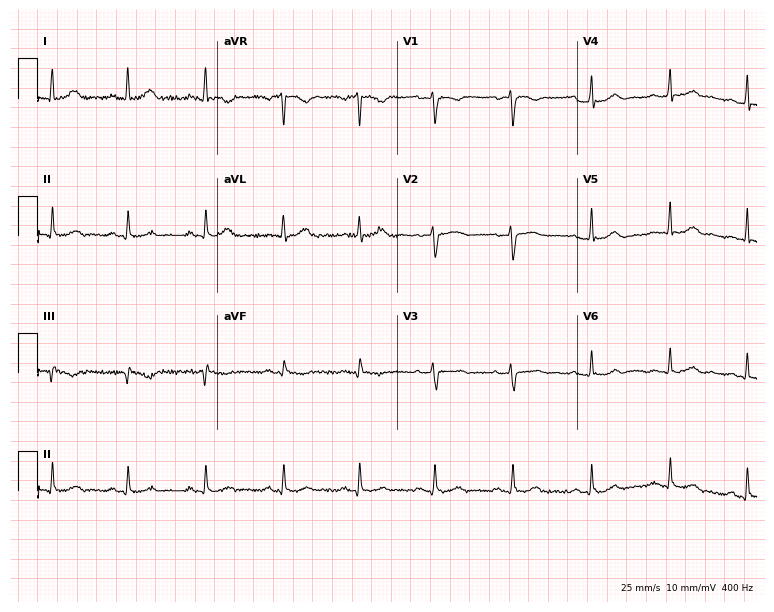
ECG — a female, 53 years old. Screened for six findings — first-degree AV block, right bundle branch block, left bundle branch block, sinus bradycardia, atrial fibrillation, sinus tachycardia — none is recorded.